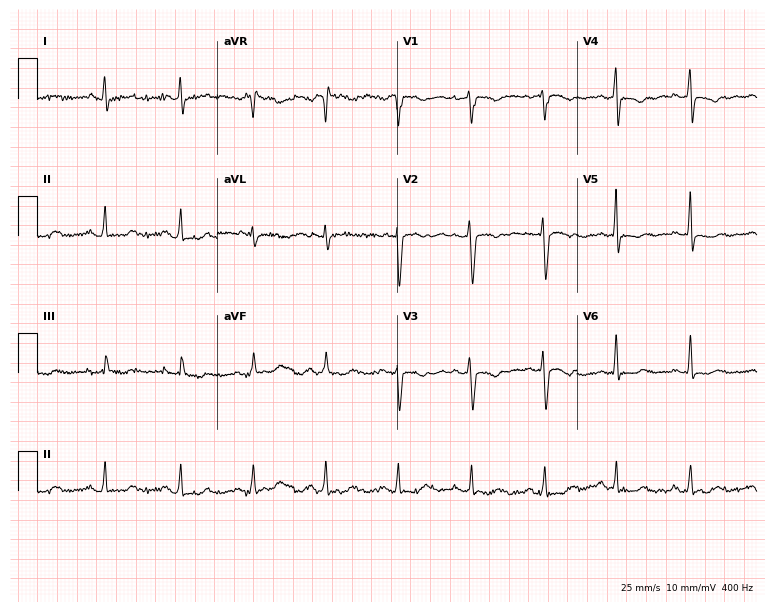
Electrocardiogram (7.3-second recording at 400 Hz), a 29-year-old woman. Of the six screened findings (first-degree AV block, right bundle branch block (RBBB), left bundle branch block (LBBB), sinus bradycardia, atrial fibrillation (AF), sinus tachycardia), none is recorded. Only these six findings were labelled.